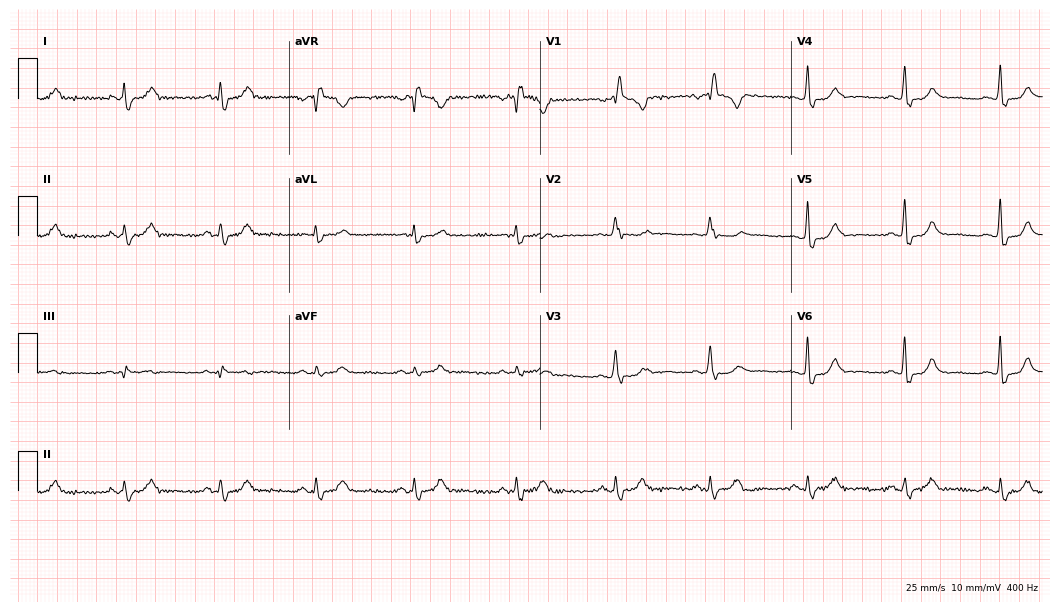
Standard 12-lead ECG recorded from a female, 55 years old (10.2-second recording at 400 Hz). The tracing shows right bundle branch block.